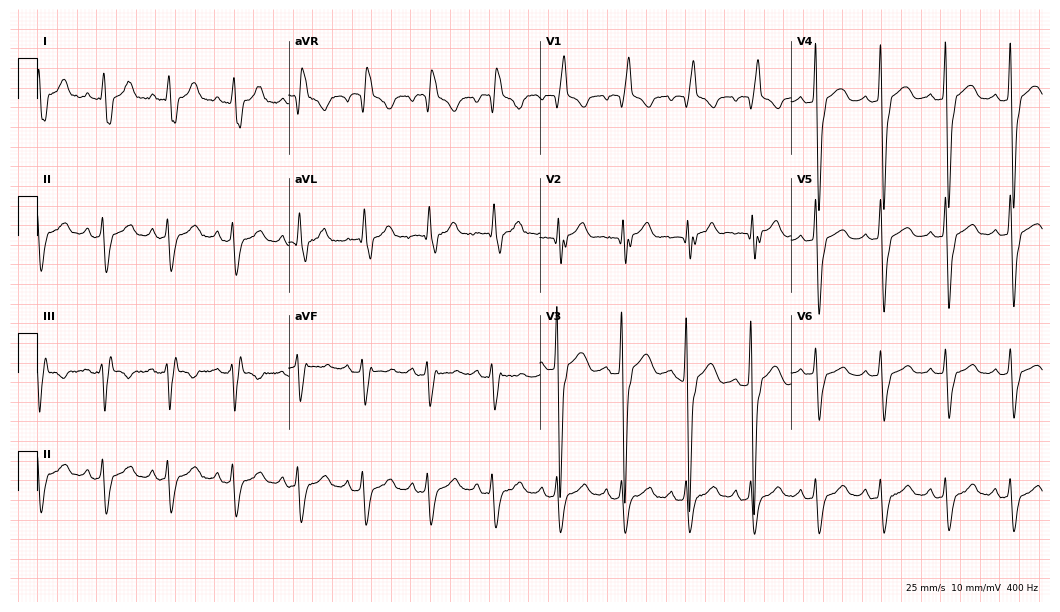
Electrocardiogram, a female patient, 80 years old. Interpretation includes right bundle branch block.